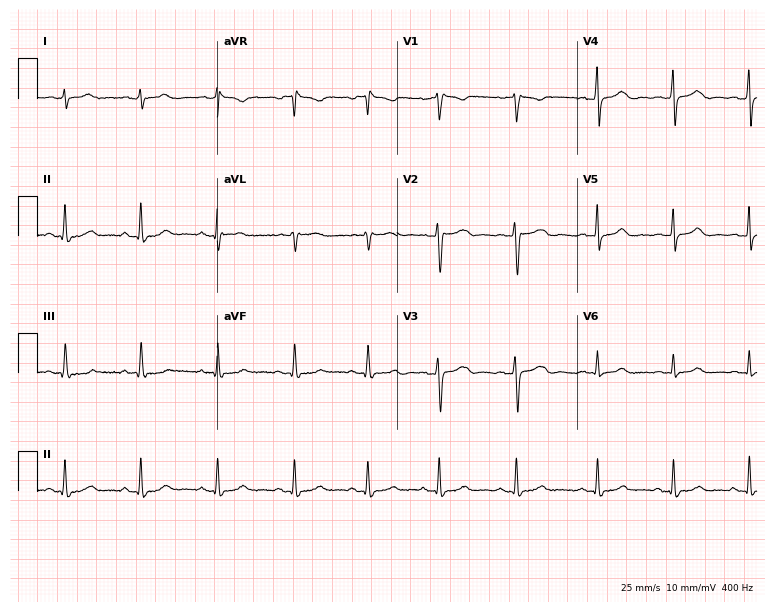
12-lead ECG from a female, 30 years old (7.3-second recording at 400 Hz). No first-degree AV block, right bundle branch block, left bundle branch block, sinus bradycardia, atrial fibrillation or sinus tachycardia recorded for this tracing.